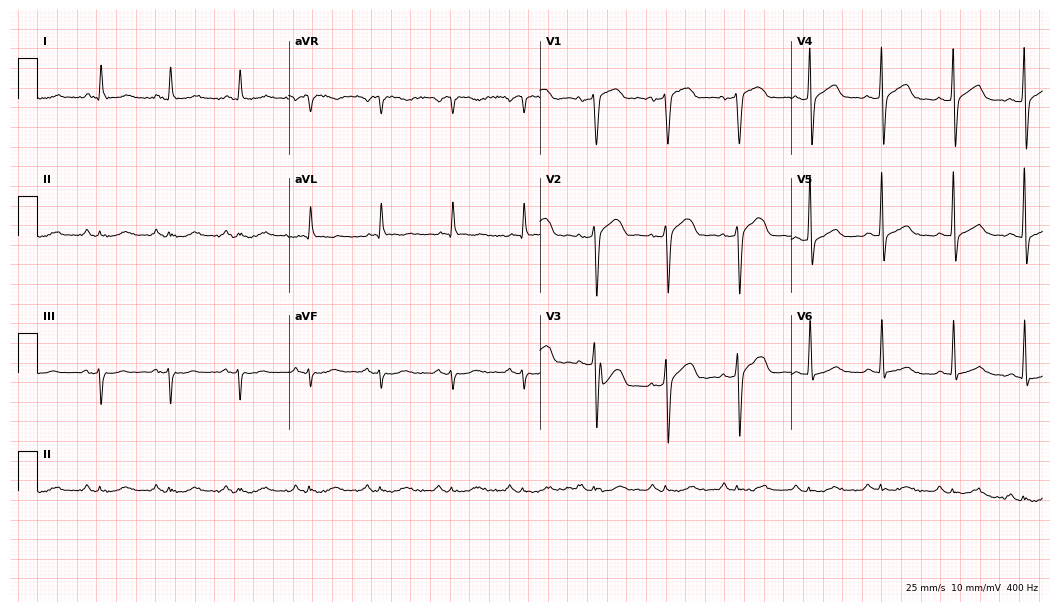
ECG (10.2-second recording at 400 Hz) — a male patient, 67 years old. Screened for six findings — first-degree AV block, right bundle branch block (RBBB), left bundle branch block (LBBB), sinus bradycardia, atrial fibrillation (AF), sinus tachycardia — none is recorded.